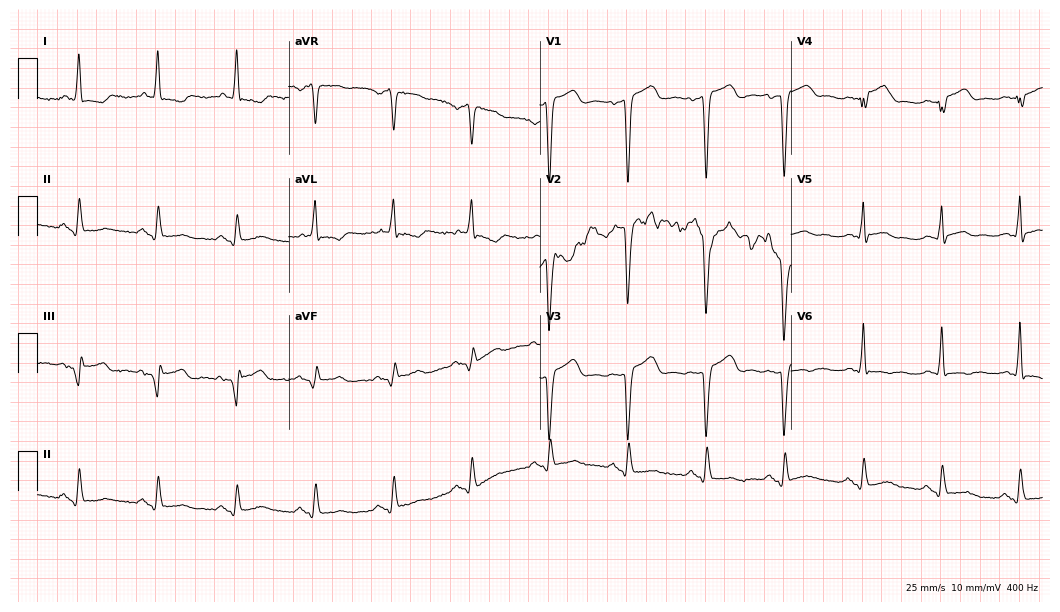
12-lead ECG from a 79-year-old male patient. No first-degree AV block, right bundle branch block, left bundle branch block, sinus bradycardia, atrial fibrillation or sinus tachycardia recorded for this tracing. Other findings, if any, are not listed.